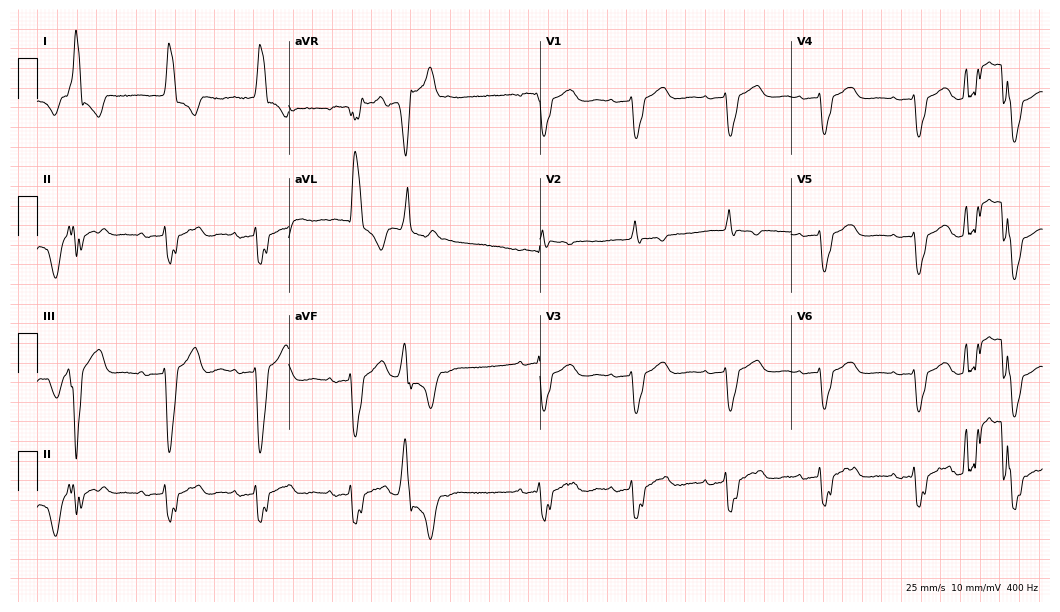
ECG (10.2-second recording at 400 Hz) — an 80-year-old woman. Screened for six findings — first-degree AV block, right bundle branch block, left bundle branch block, sinus bradycardia, atrial fibrillation, sinus tachycardia — none is recorded. Other findings, if any, are not listed.